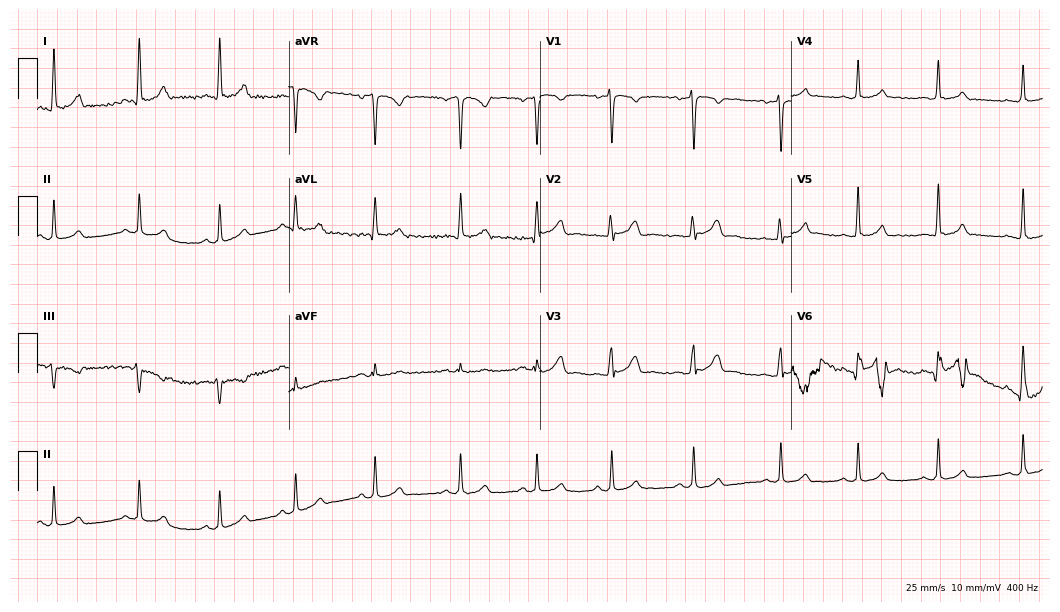
Resting 12-lead electrocardiogram. Patient: a 21-year-old woman. Read as a normal ECG.